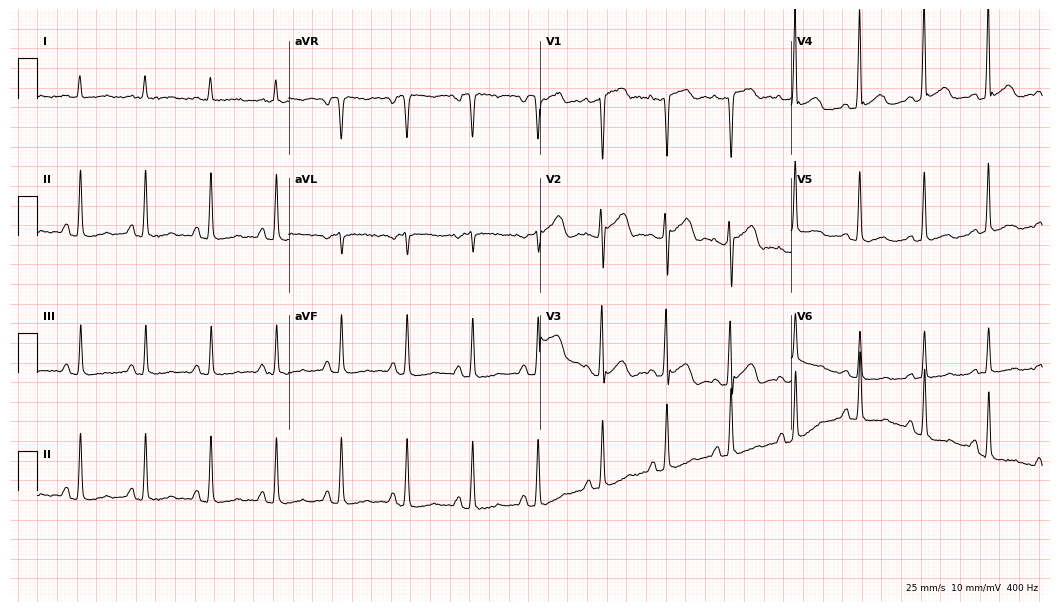
12-lead ECG from a female patient, 72 years old (10.2-second recording at 400 Hz). No first-degree AV block, right bundle branch block, left bundle branch block, sinus bradycardia, atrial fibrillation or sinus tachycardia recorded for this tracing. Other findings, if any, are not listed.